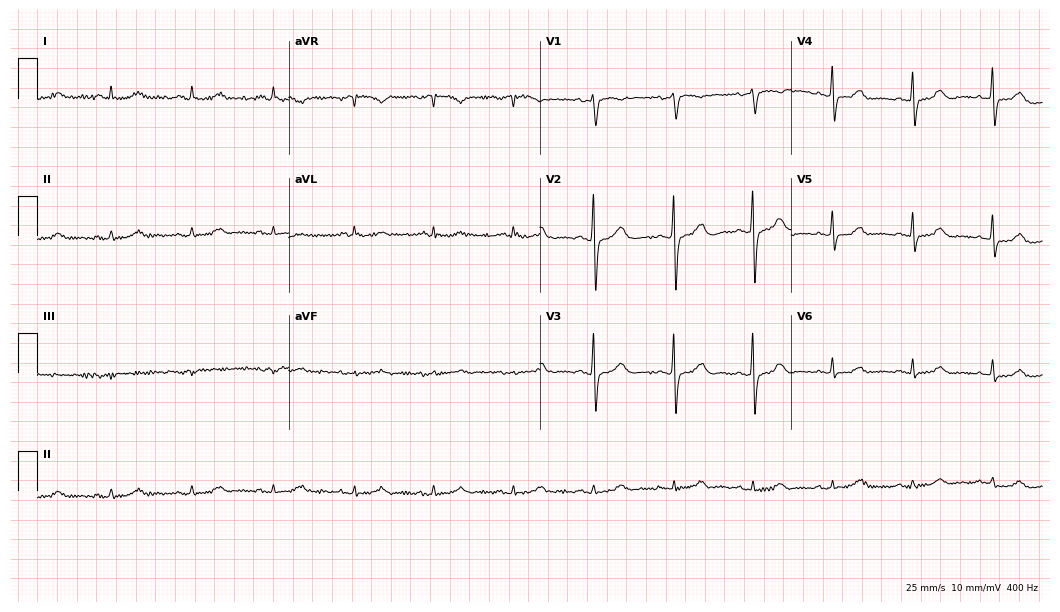
12-lead ECG (10.2-second recording at 400 Hz) from an 82-year-old female. Labelled as a normal ECG.